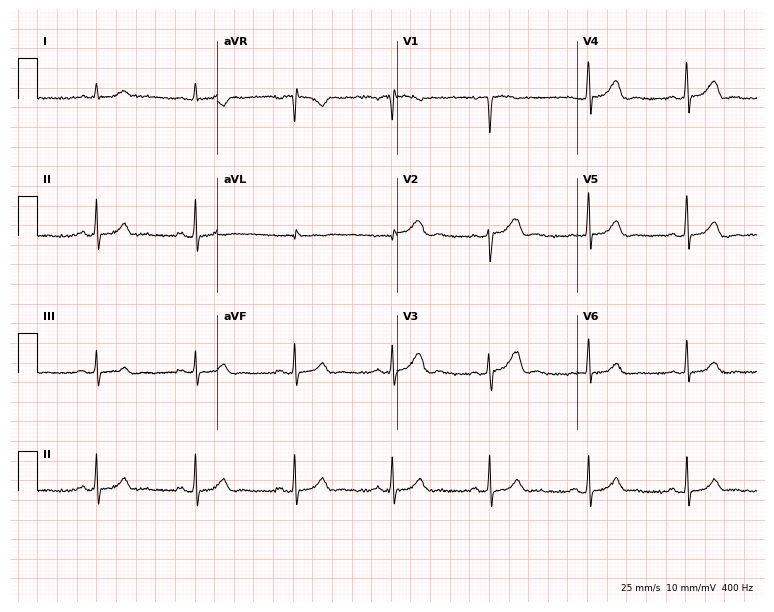
12-lead ECG from a male patient, 52 years old. Recorded interpretation: within normal limits.